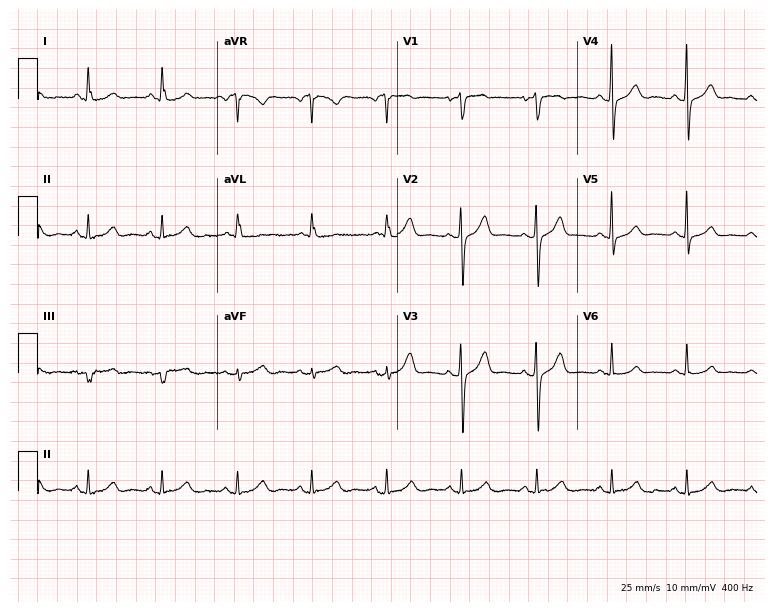
Standard 12-lead ECG recorded from a woman, 52 years old. Read as a normal ECG.